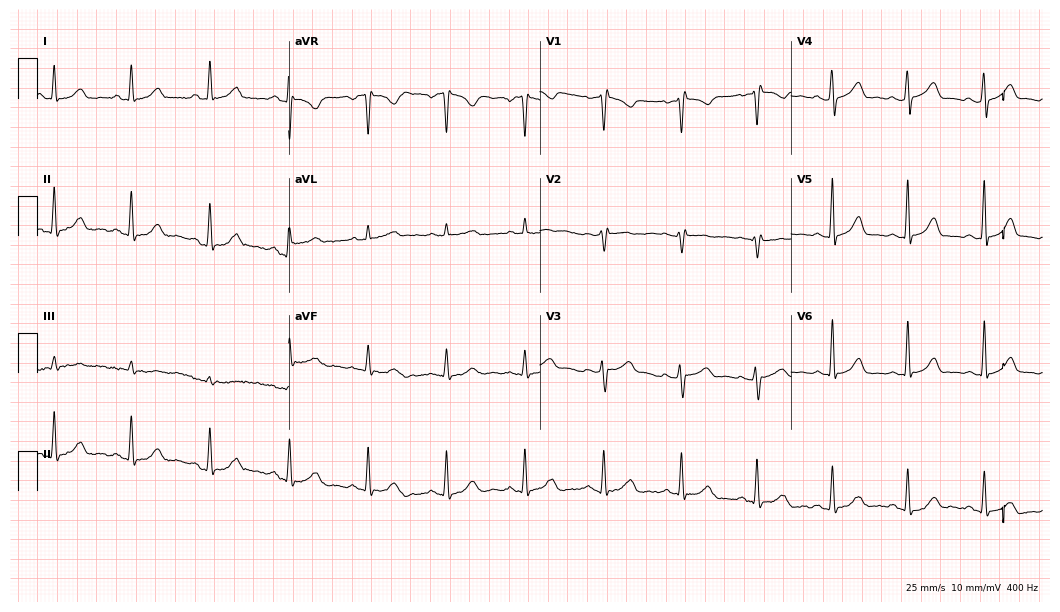
ECG — a 47-year-old woman. Screened for six findings — first-degree AV block, right bundle branch block (RBBB), left bundle branch block (LBBB), sinus bradycardia, atrial fibrillation (AF), sinus tachycardia — none is recorded.